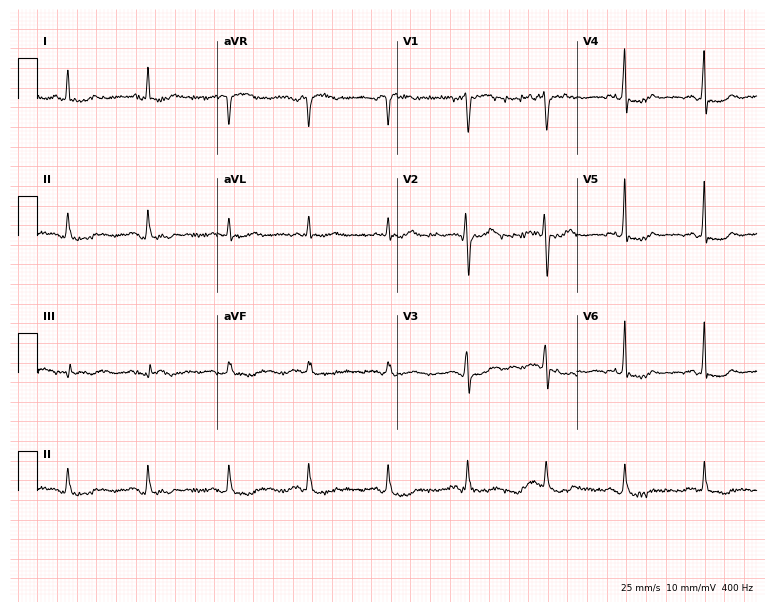
12-lead ECG from a female, 70 years old (7.3-second recording at 400 Hz). No first-degree AV block, right bundle branch block (RBBB), left bundle branch block (LBBB), sinus bradycardia, atrial fibrillation (AF) or sinus tachycardia recorded for this tracing.